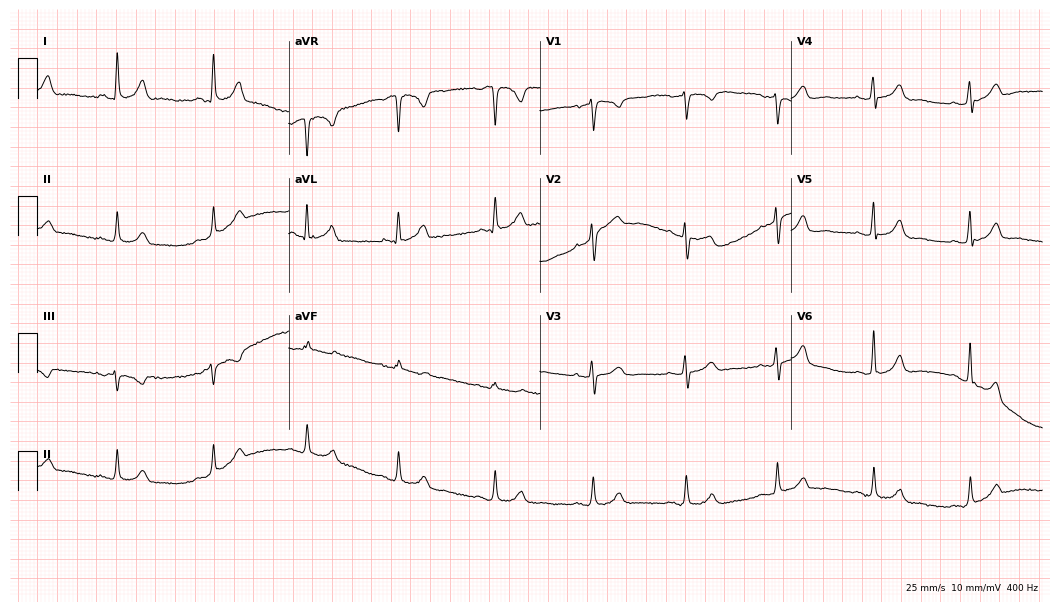
12-lead ECG (10.2-second recording at 400 Hz) from a 49-year-old female patient. Labelled as a normal ECG.